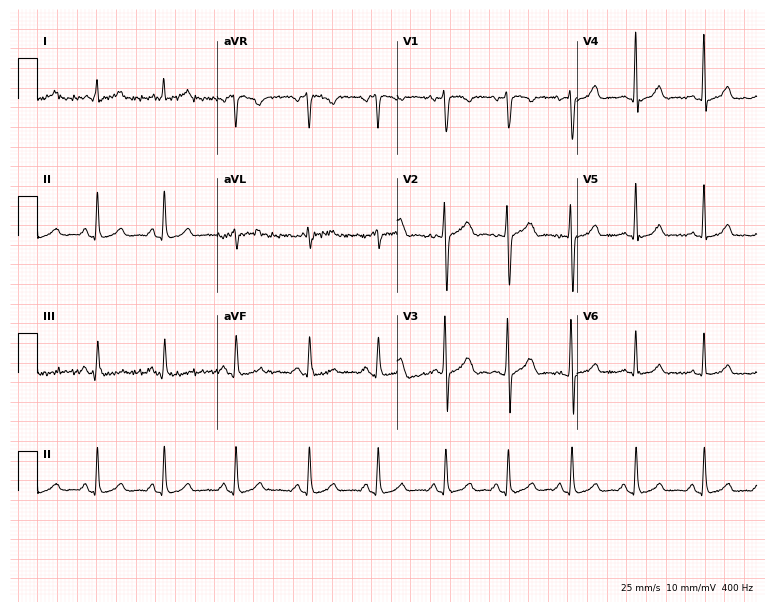
12-lead ECG from a woman, 25 years old (7.3-second recording at 400 Hz). No first-degree AV block, right bundle branch block, left bundle branch block, sinus bradycardia, atrial fibrillation or sinus tachycardia recorded for this tracing. Only these six findings were labelled.